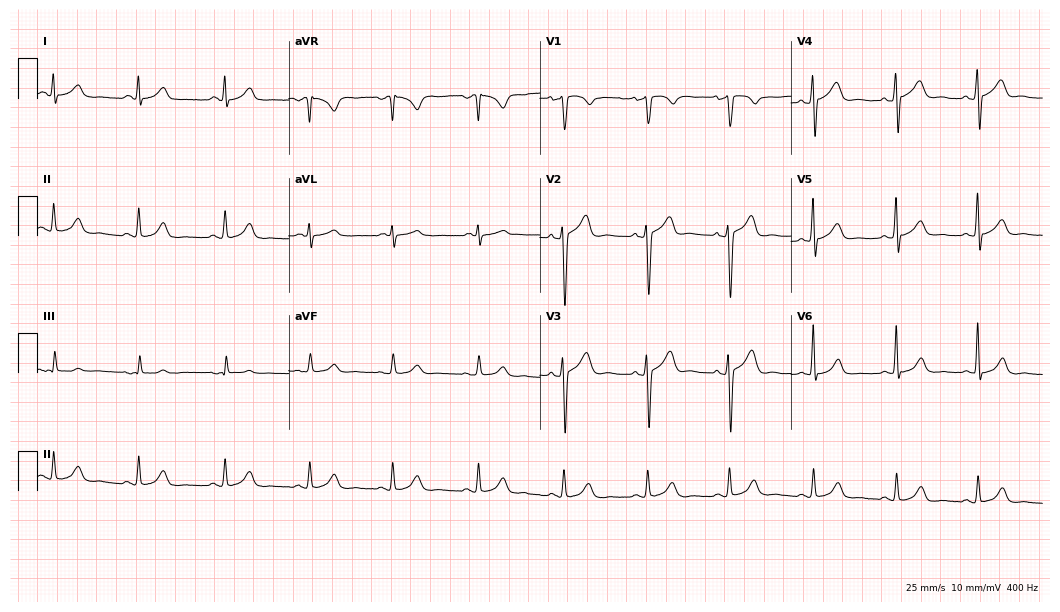
ECG (10.2-second recording at 400 Hz) — a man, 48 years old. Labelled as a normal ECG.